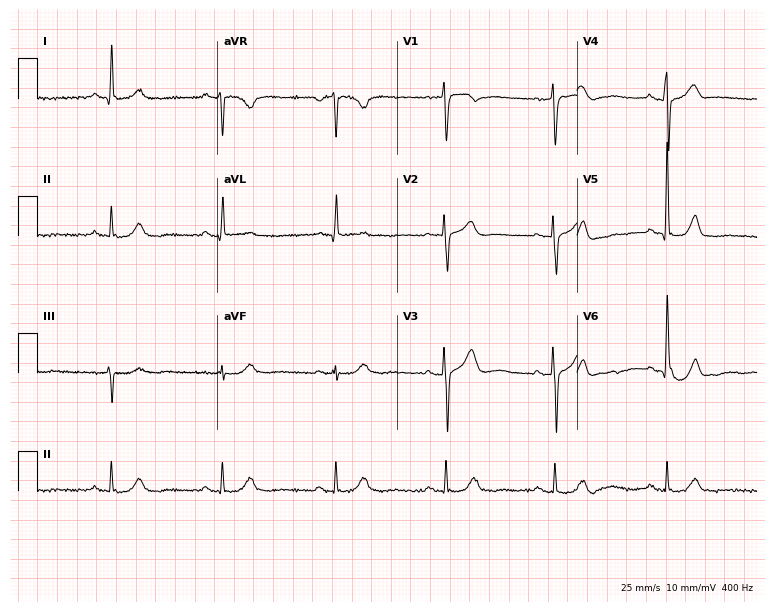
12-lead ECG from a 74-year-old male. No first-degree AV block, right bundle branch block (RBBB), left bundle branch block (LBBB), sinus bradycardia, atrial fibrillation (AF) or sinus tachycardia recorded for this tracing. Only these six findings were labelled.